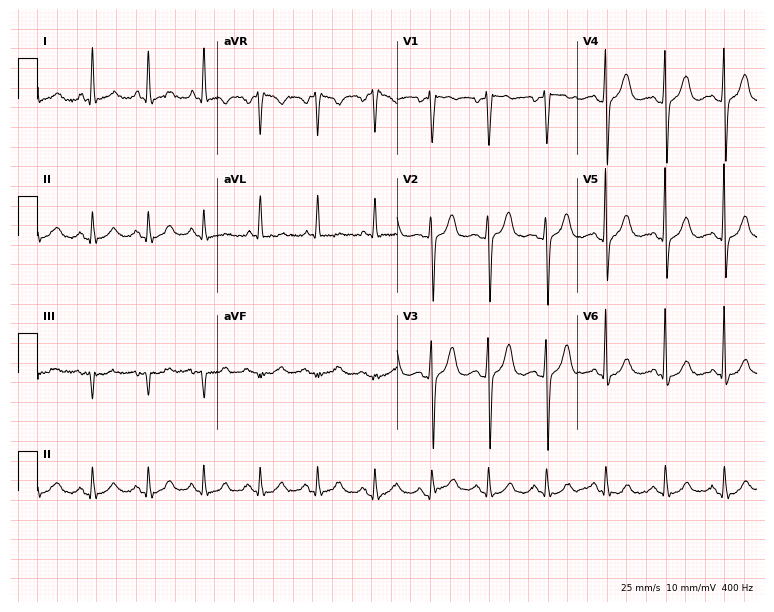
Standard 12-lead ECG recorded from a 68-year-old male patient (7.3-second recording at 400 Hz). The tracing shows sinus tachycardia (a sinus rate of 100 beats per minute or more).